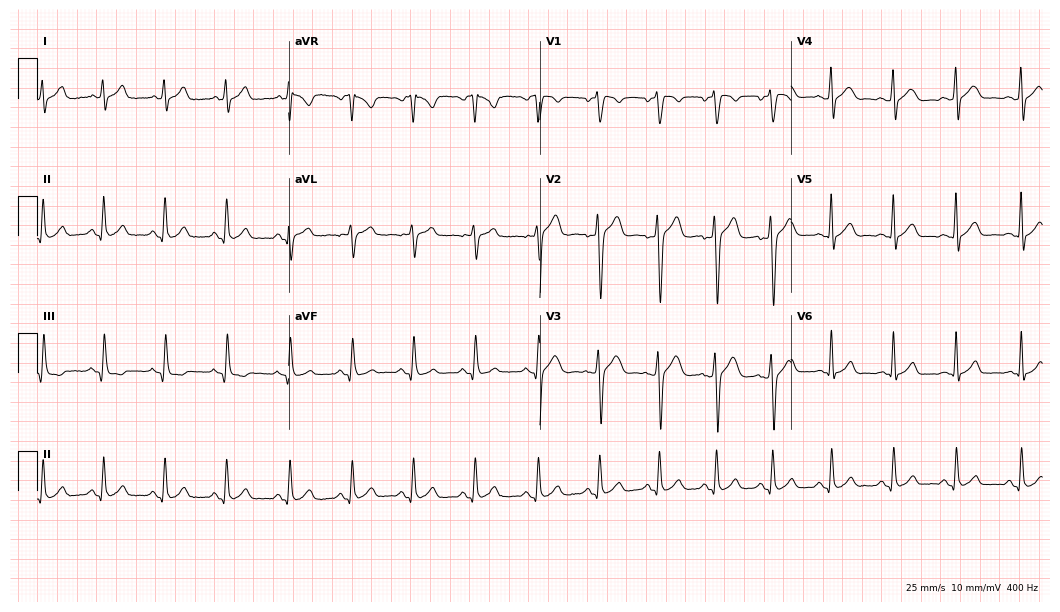
Electrocardiogram (10.2-second recording at 400 Hz), a 24-year-old man. Overall reading on record: normal ECG.